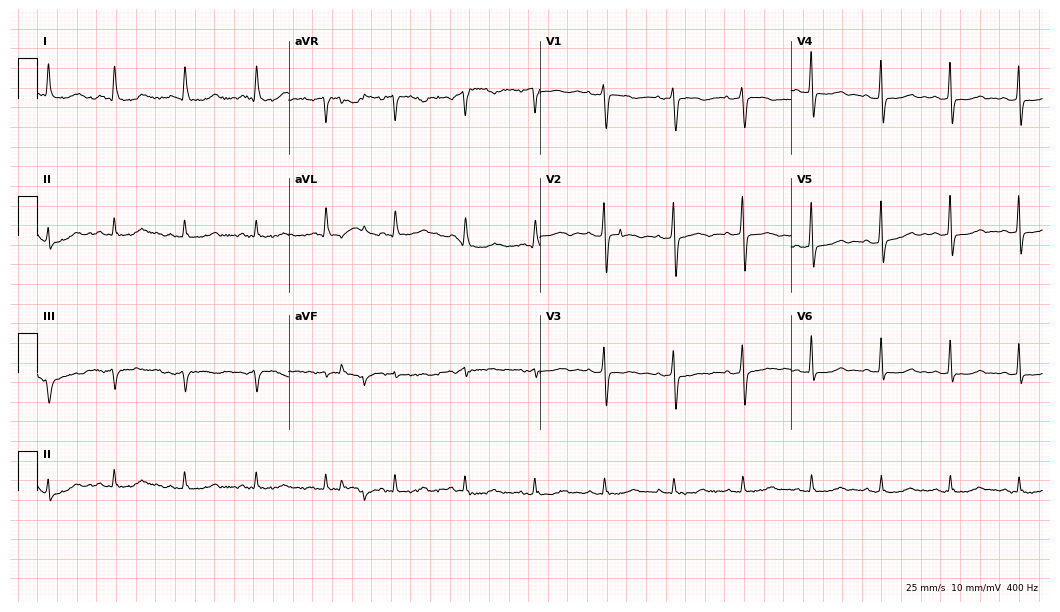
Resting 12-lead electrocardiogram (10.2-second recording at 400 Hz). Patient: a female, 76 years old. Read as a normal ECG.